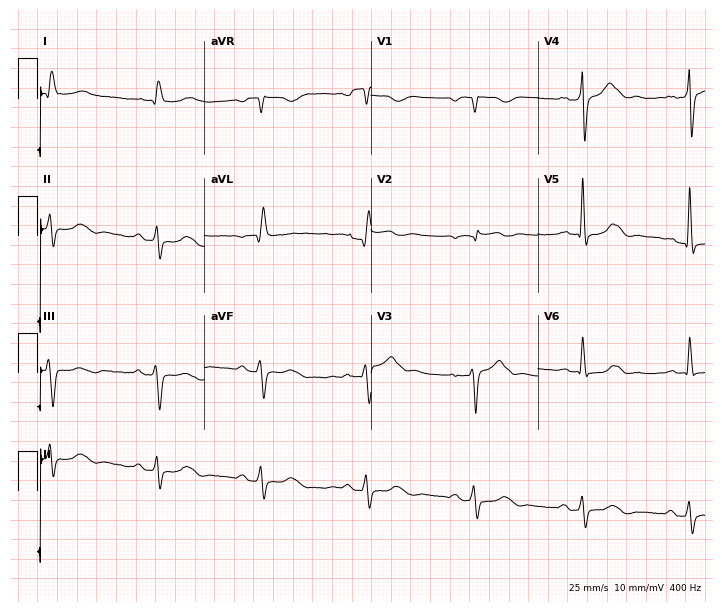
Standard 12-lead ECG recorded from a male, 66 years old. None of these six findings is recorded: first-degree AV block, right bundle branch block, left bundle branch block, sinus bradycardia, atrial fibrillation, sinus tachycardia. Findings outside these six are not listed.